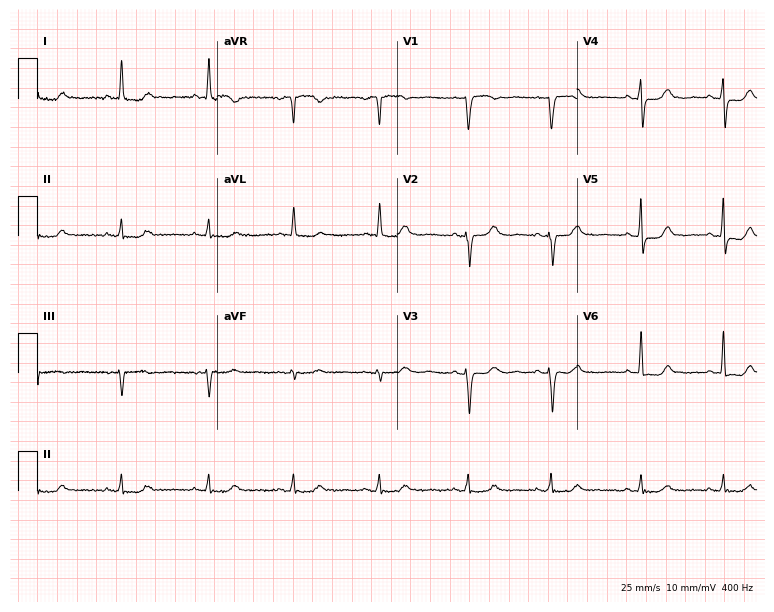
12-lead ECG from a female, 78 years old. Recorded interpretation: within normal limits.